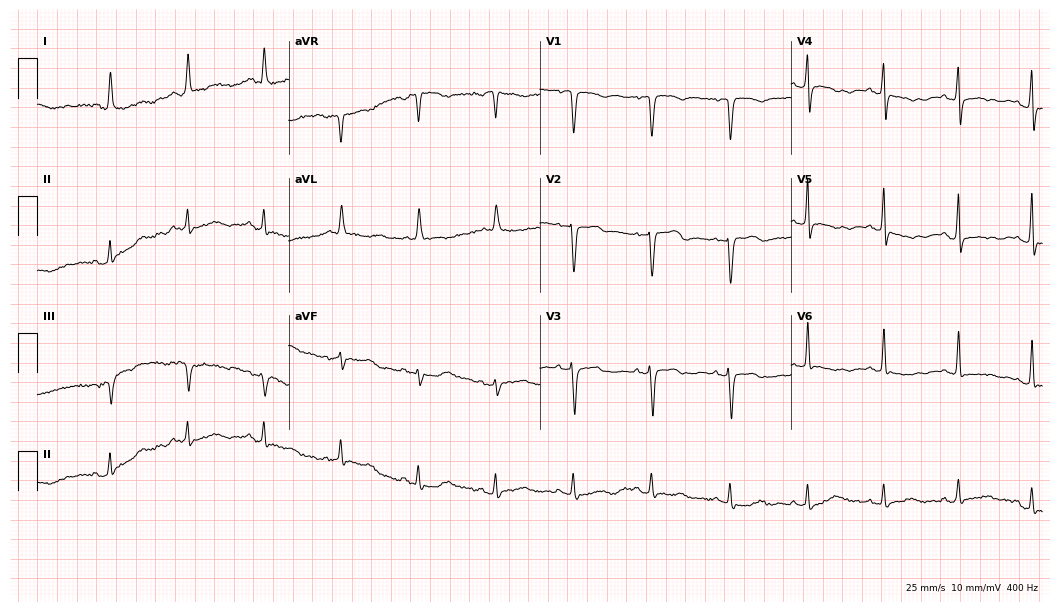
Electrocardiogram (10.2-second recording at 400 Hz), a woman, 76 years old. Of the six screened findings (first-degree AV block, right bundle branch block (RBBB), left bundle branch block (LBBB), sinus bradycardia, atrial fibrillation (AF), sinus tachycardia), none is recorded. Other findings, if any, are not listed.